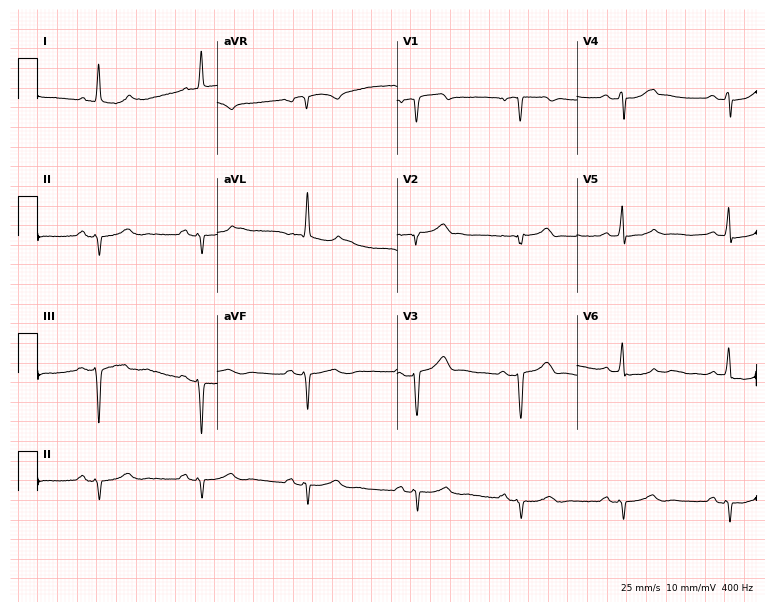
ECG — a male, 67 years old. Screened for six findings — first-degree AV block, right bundle branch block, left bundle branch block, sinus bradycardia, atrial fibrillation, sinus tachycardia — none is recorded.